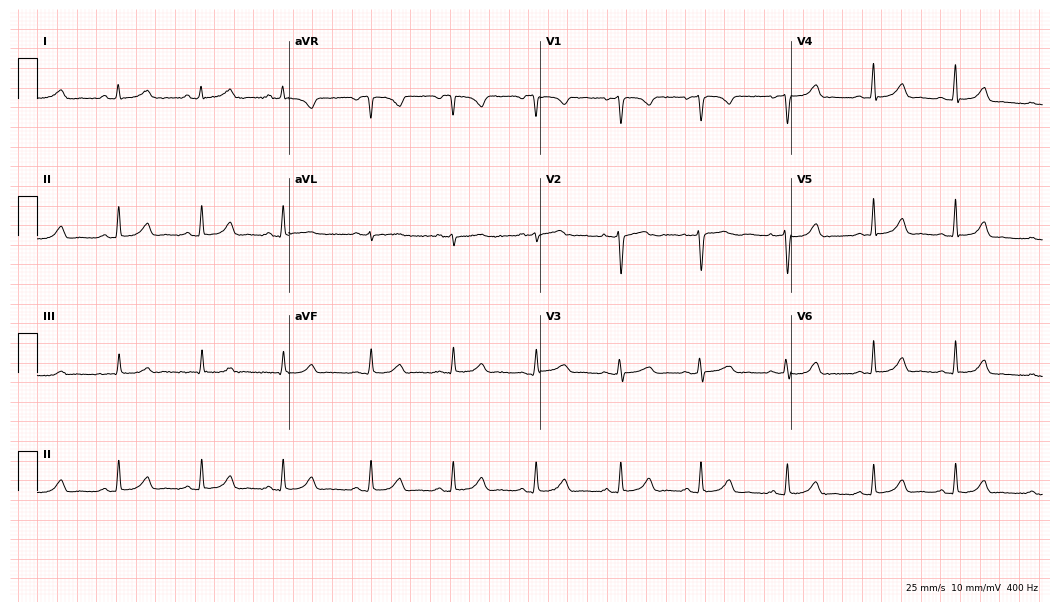
Standard 12-lead ECG recorded from a female patient, 36 years old. Read as a normal ECG.